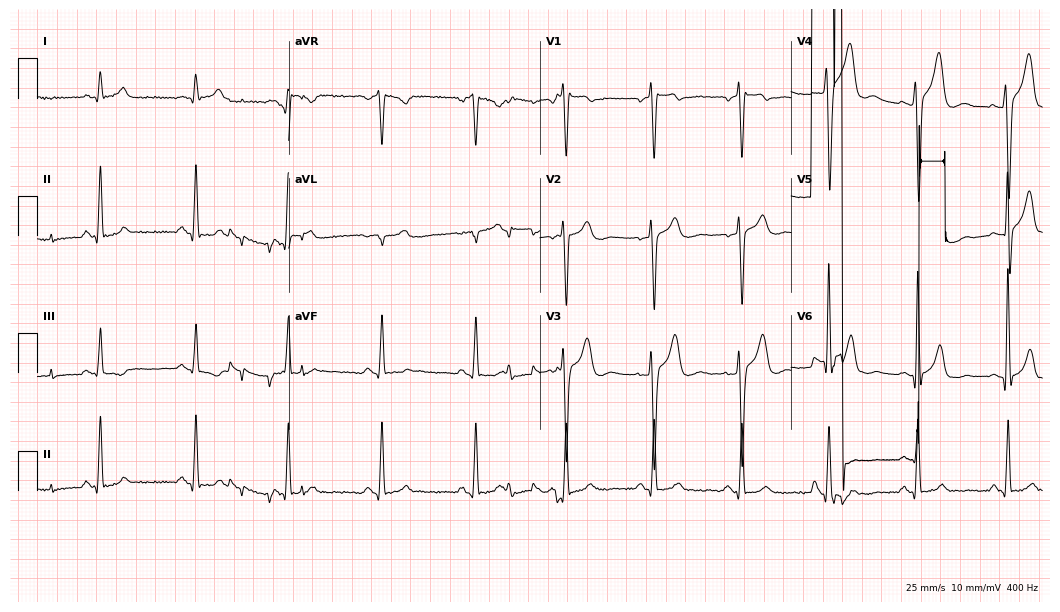
Electrocardiogram, a man, 37 years old. Of the six screened findings (first-degree AV block, right bundle branch block (RBBB), left bundle branch block (LBBB), sinus bradycardia, atrial fibrillation (AF), sinus tachycardia), none is recorded. Findings outside these six are not listed.